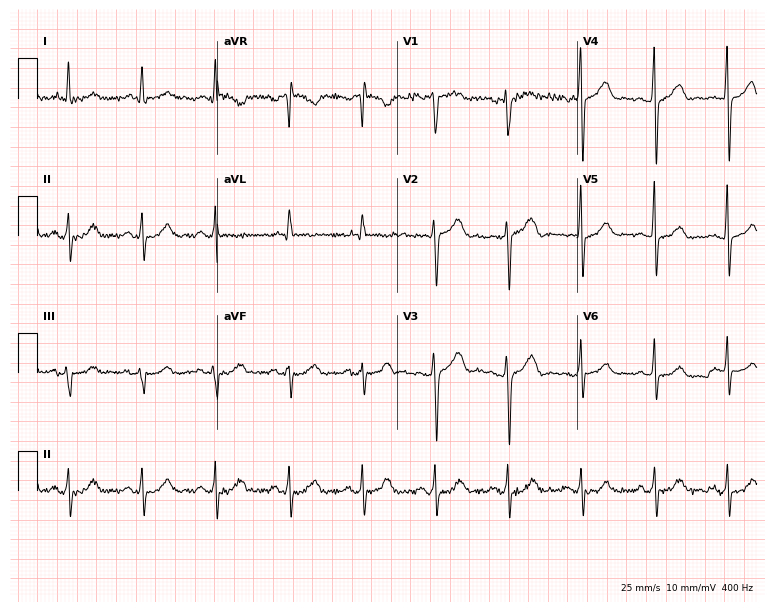
Standard 12-lead ECG recorded from a 63-year-old male. None of these six findings is recorded: first-degree AV block, right bundle branch block, left bundle branch block, sinus bradycardia, atrial fibrillation, sinus tachycardia. Findings outside these six are not listed.